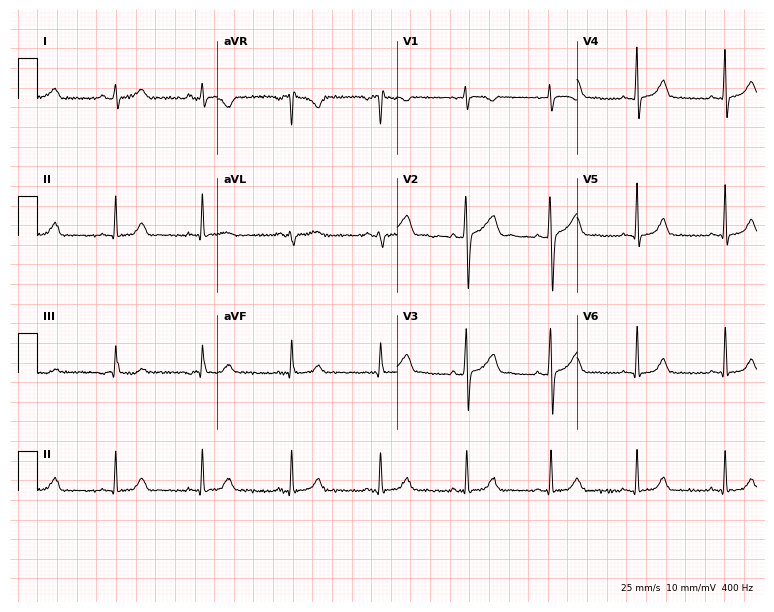
12-lead ECG from a female, 31 years old. Recorded interpretation: within normal limits.